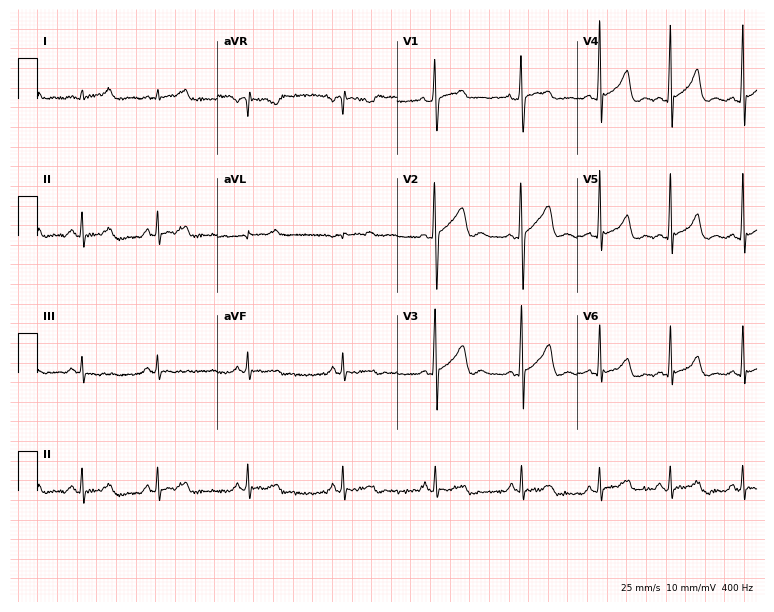
Electrocardiogram (7.3-second recording at 400 Hz), a male, 53 years old. Of the six screened findings (first-degree AV block, right bundle branch block (RBBB), left bundle branch block (LBBB), sinus bradycardia, atrial fibrillation (AF), sinus tachycardia), none is recorded. Other findings, if any, are not listed.